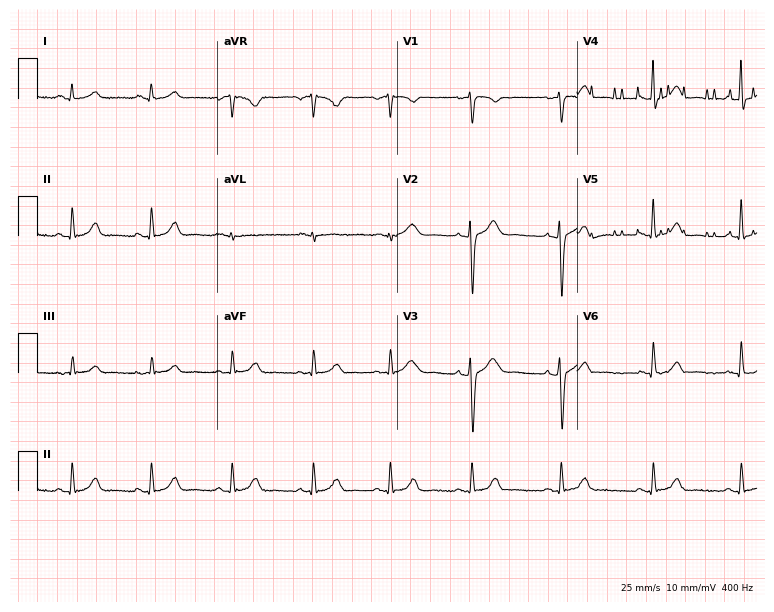
Standard 12-lead ECG recorded from a female patient, 36 years old (7.3-second recording at 400 Hz). Read as a normal ECG.